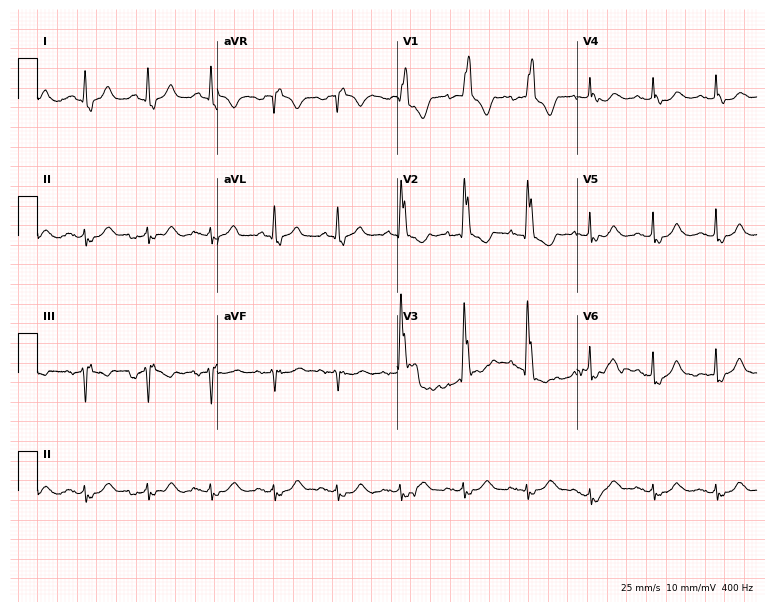
12-lead ECG from a female patient, 87 years old (7.3-second recording at 400 Hz). Shows right bundle branch block.